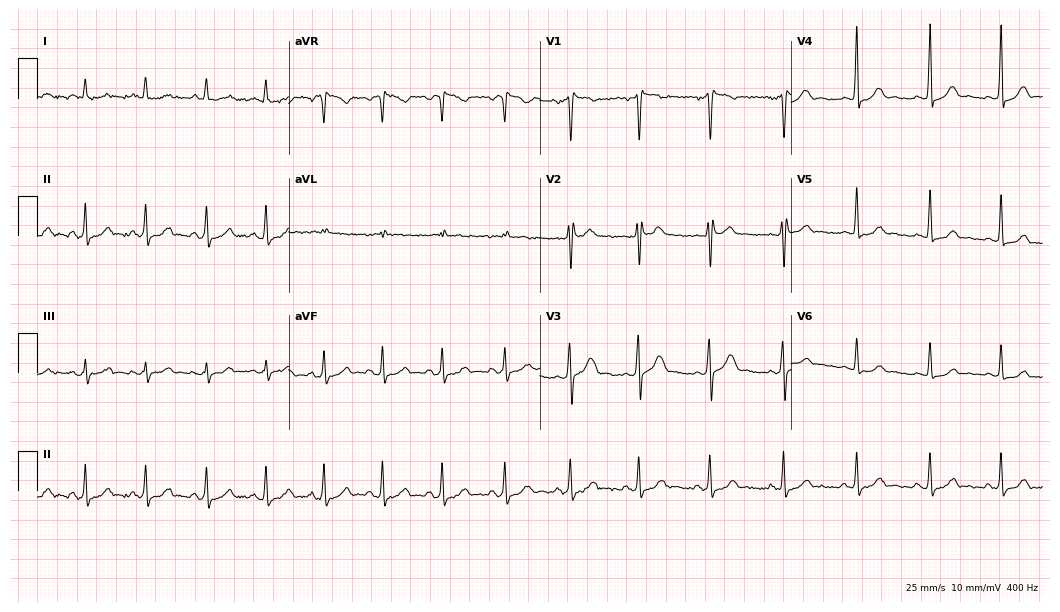
Electrocardiogram (10.2-second recording at 400 Hz), a 43-year-old male patient. Of the six screened findings (first-degree AV block, right bundle branch block, left bundle branch block, sinus bradycardia, atrial fibrillation, sinus tachycardia), none is recorded. Other findings, if any, are not listed.